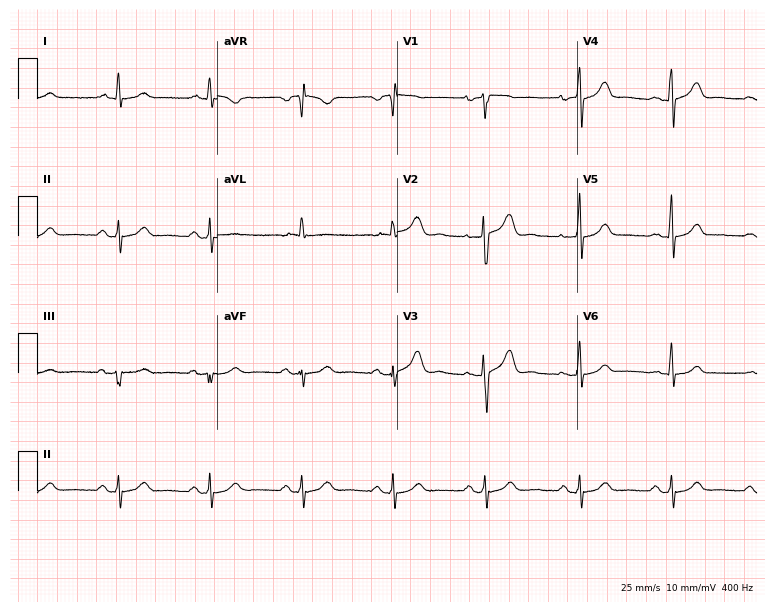
Electrocardiogram, a 54-year-old man. Overall reading on record: normal ECG.